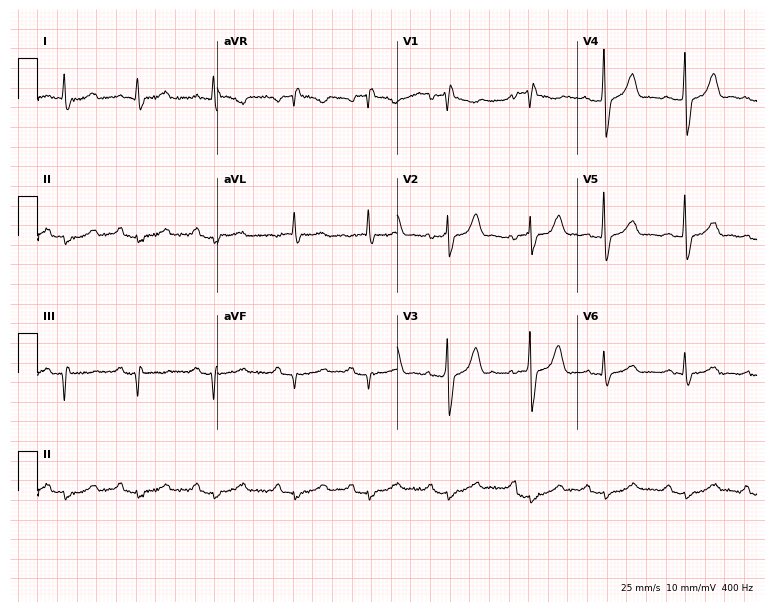
Resting 12-lead electrocardiogram (7.3-second recording at 400 Hz). Patient: an 83-year-old male. None of these six findings is recorded: first-degree AV block, right bundle branch block, left bundle branch block, sinus bradycardia, atrial fibrillation, sinus tachycardia.